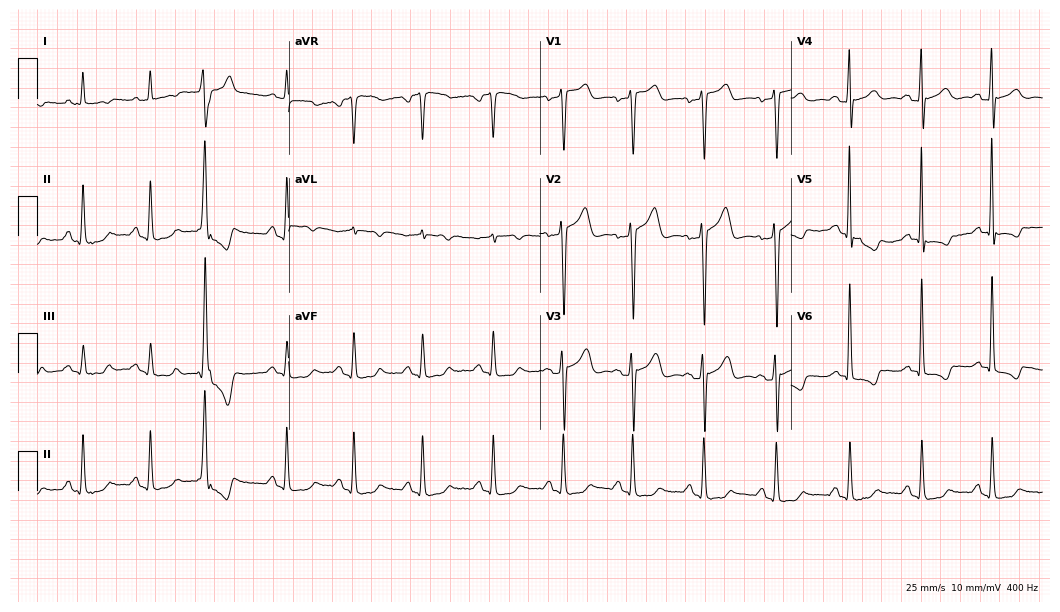
Electrocardiogram (10.2-second recording at 400 Hz), a male, 69 years old. Of the six screened findings (first-degree AV block, right bundle branch block, left bundle branch block, sinus bradycardia, atrial fibrillation, sinus tachycardia), none is recorded.